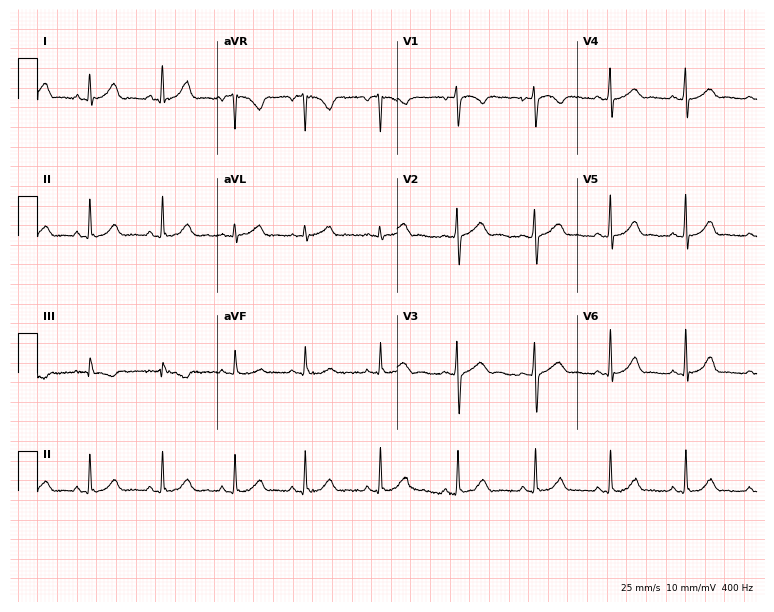
ECG — a 31-year-old female patient. Labelled as a normal ECG.